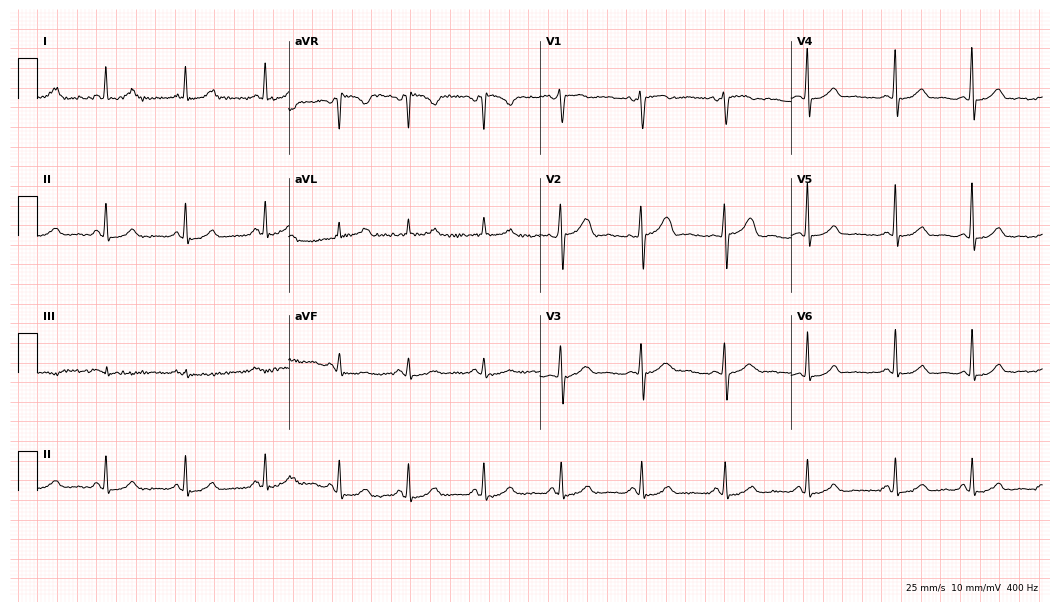
12-lead ECG from a 38-year-old female patient (10.2-second recording at 400 Hz). Recorded interpretation: within normal limits.